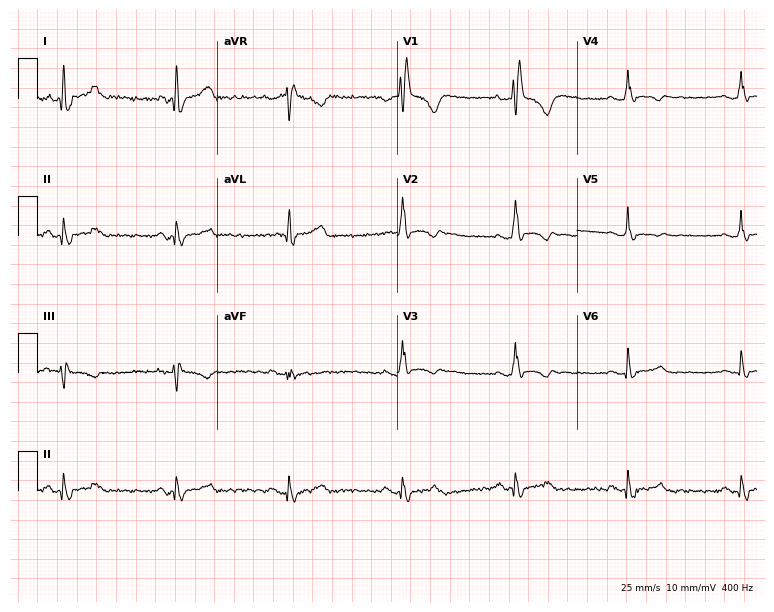
ECG (7.3-second recording at 400 Hz) — a male, 46 years old. Screened for six findings — first-degree AV block, right bundle branch block, left bundle branch block, sinus bradycardia, atrial fibrillation, sinus tachycardia — none is recorded.